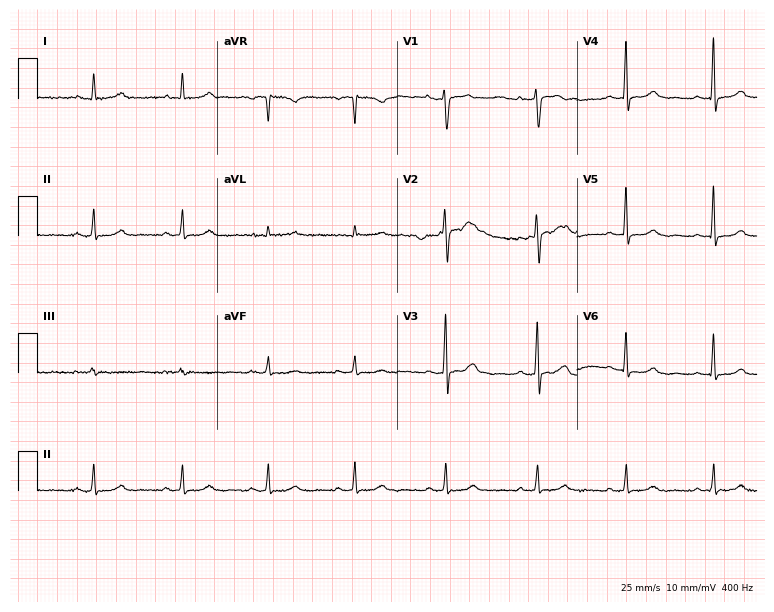
Electrocardiogram, a 44-year-old woman. Overall reading on record: normal ECG.